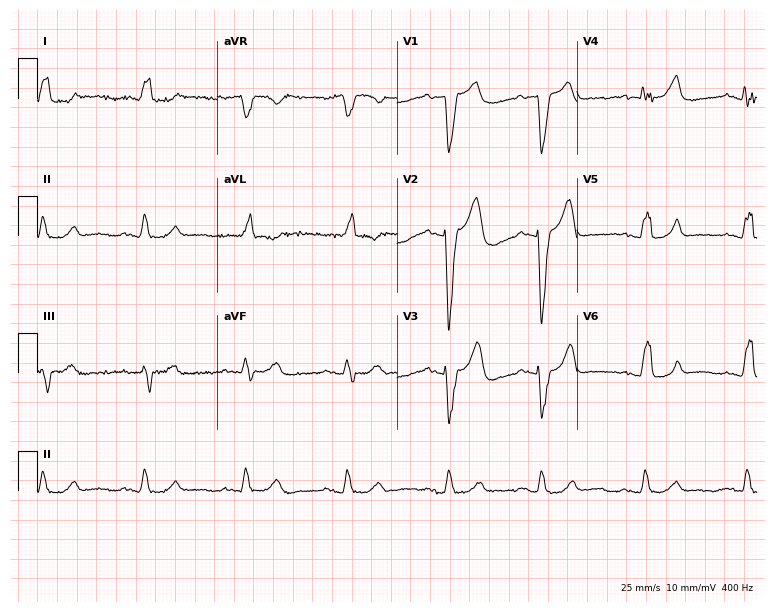
Electrocardiogram (7.3-second recording at 400 Hz), an 83-year-old man. Interpretation includes left bundle branch block.